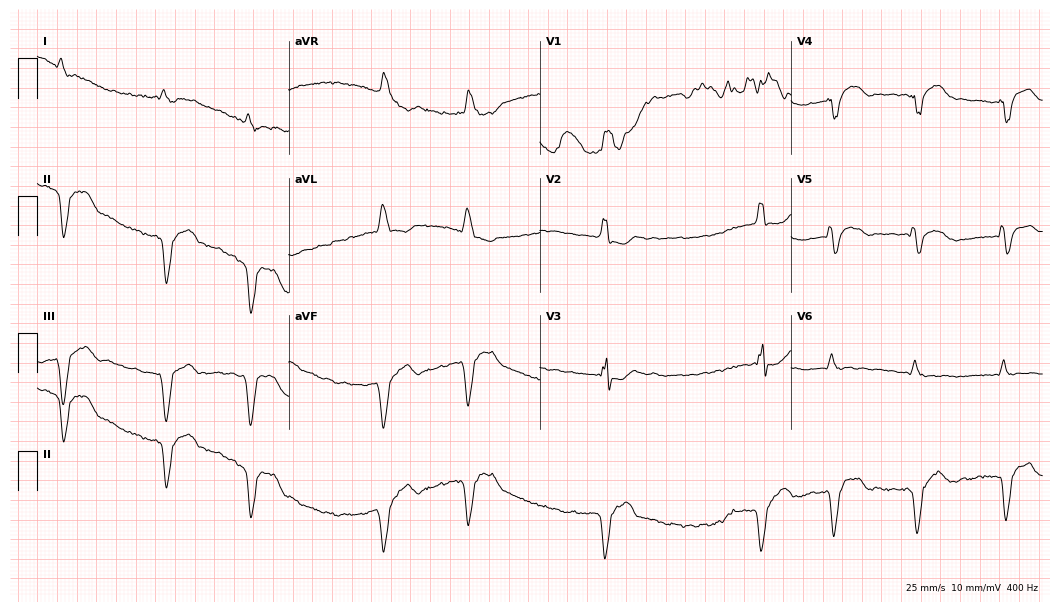
Electrocardiogram, a 78-year-old male patient. Of the six screened findings (first-degree AV block, right bundle branch block (RBBB), left bundle branch block (LBBB), sinus bradycardia, atrial fibrillation (AF), sinus tachycardia), none is recorded.